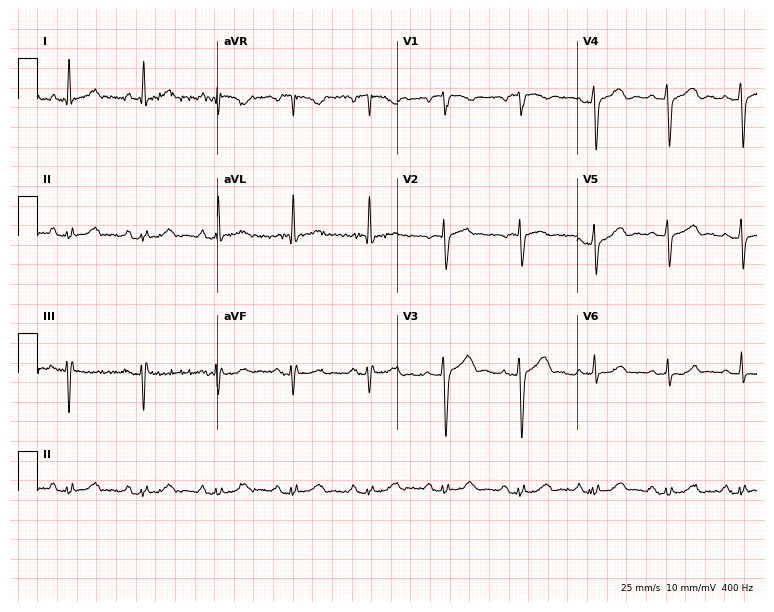
Resting 12-lead electrocardiogram. Patient: a 46-year-old male. Read as a normal ECG.